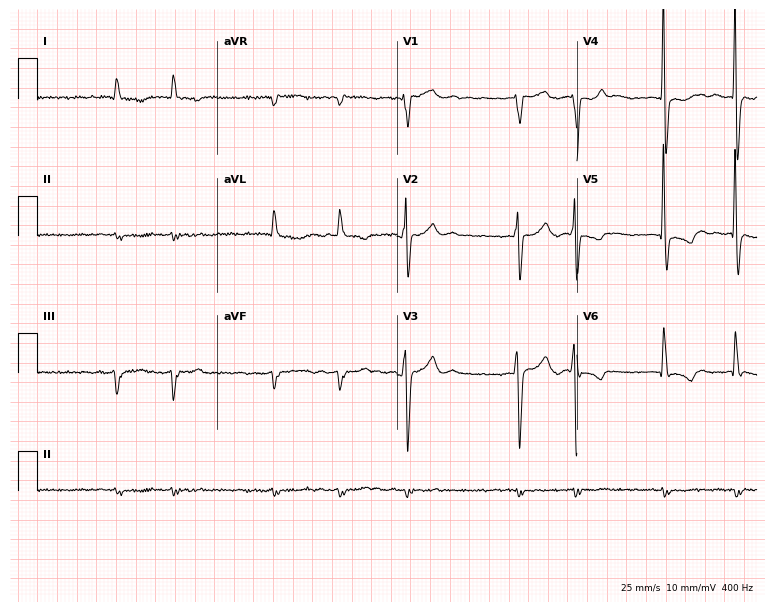
Standard 12-lead ECG recorded from an 83-year-old man. The tracing shows atrial fibrillation.